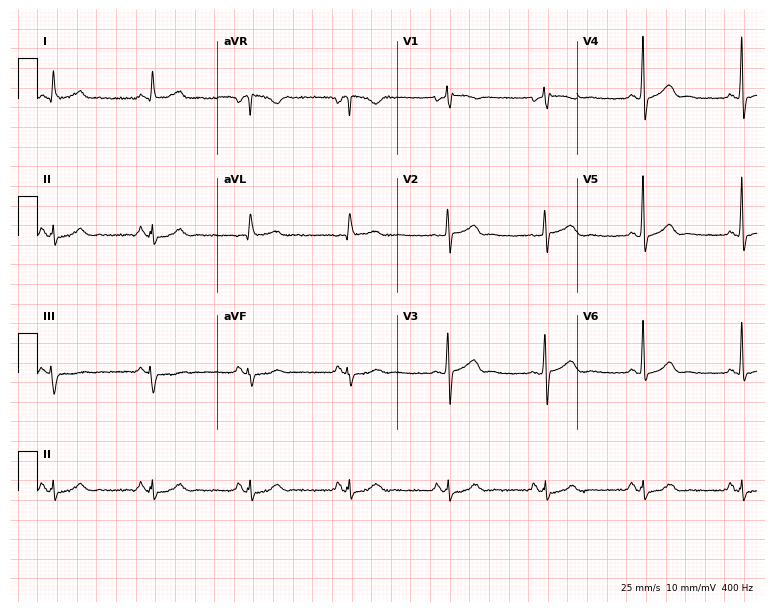
12-lead ECG from a 58-year-old male (7.3-second recording at 400 Hz). Recorded interpretation: within normal limits.